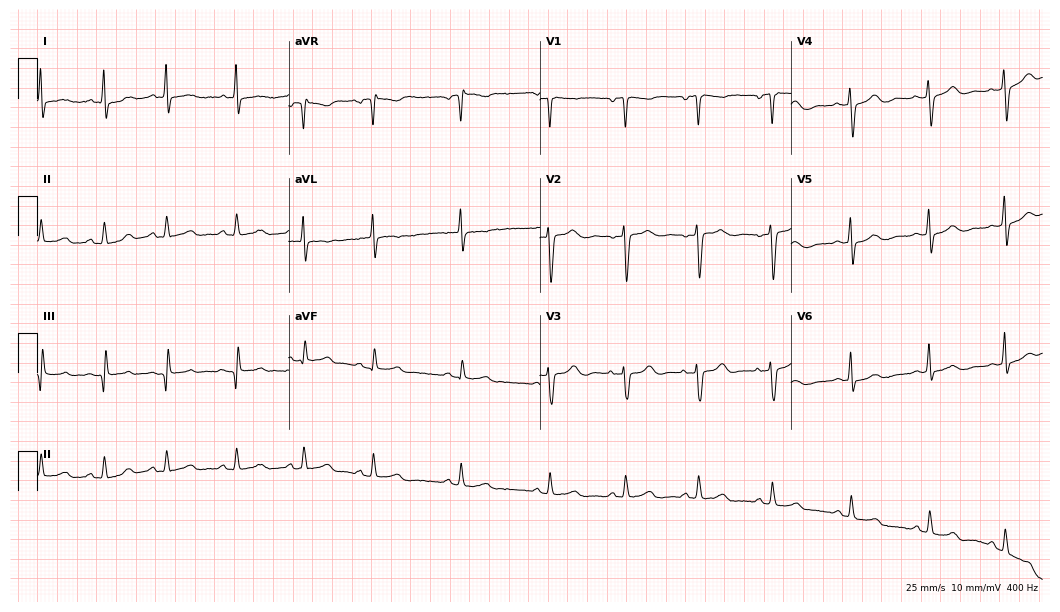
ECG (10.2-second recording at 400 Hz) — a female patient, 70 years old. Labelled as a normal ECG.